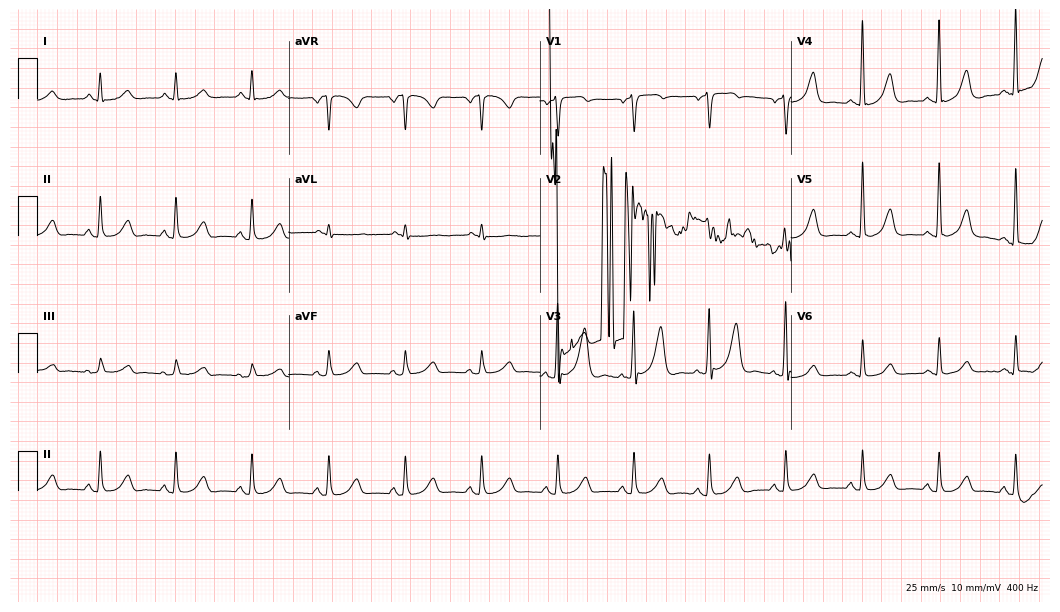
Resting 12-lead electrocardiogram (10.2-second recording at 400 Hz). Patient: a female, 83 years old. Read as a normal ECG.